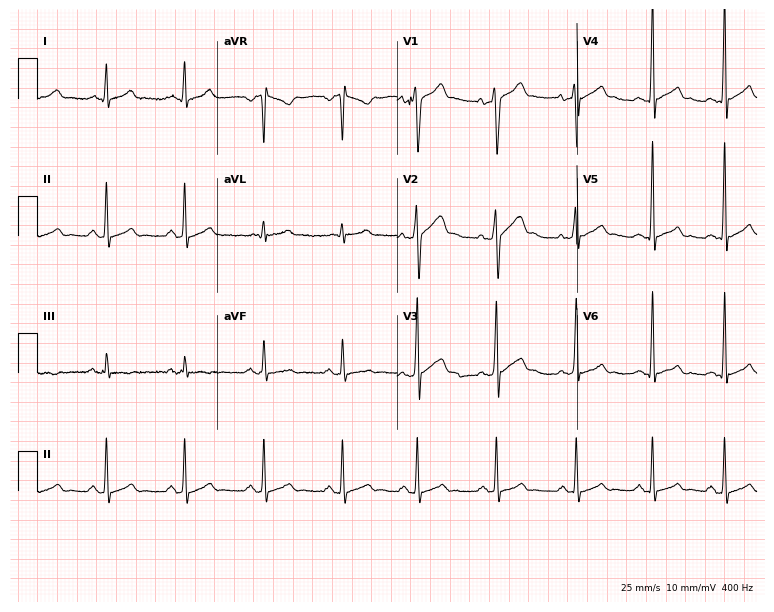
12-lead ECG from a man, 21 years old. Labelled as a normal ECG.